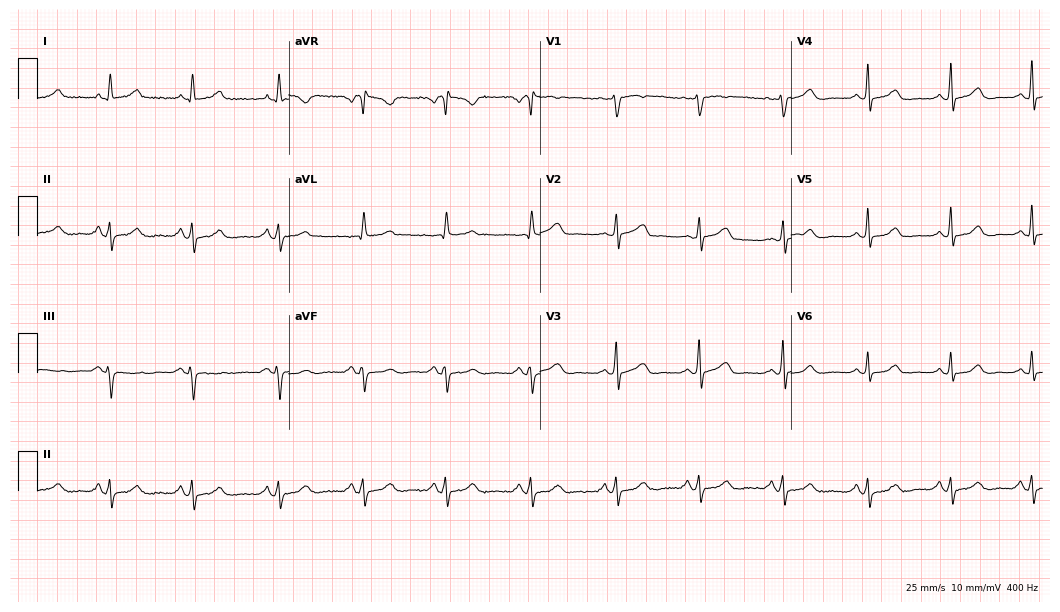
12-lead ECG from a 38-year-old woman. Recorded interpretation: within normal limits.